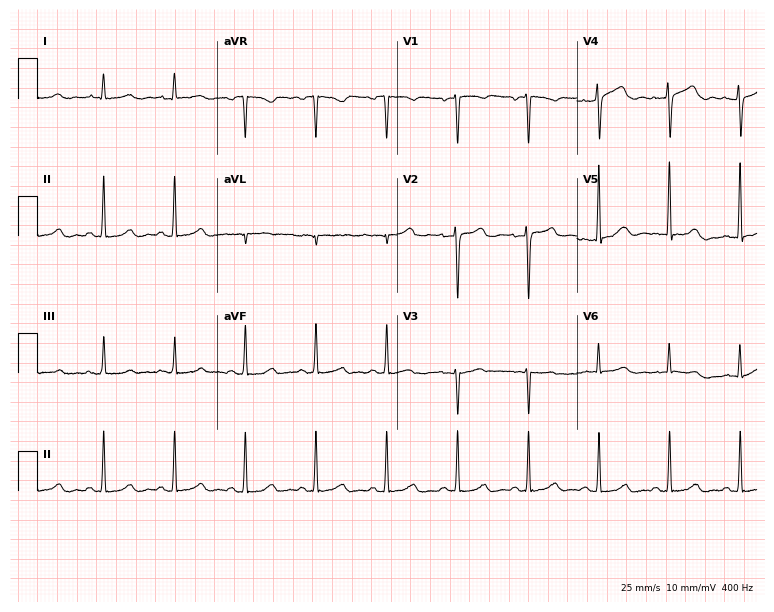
12-lead ECG (7.3-second recording at 400 Hz) from a 35-year-old woman. Labelled as a normal ECG.